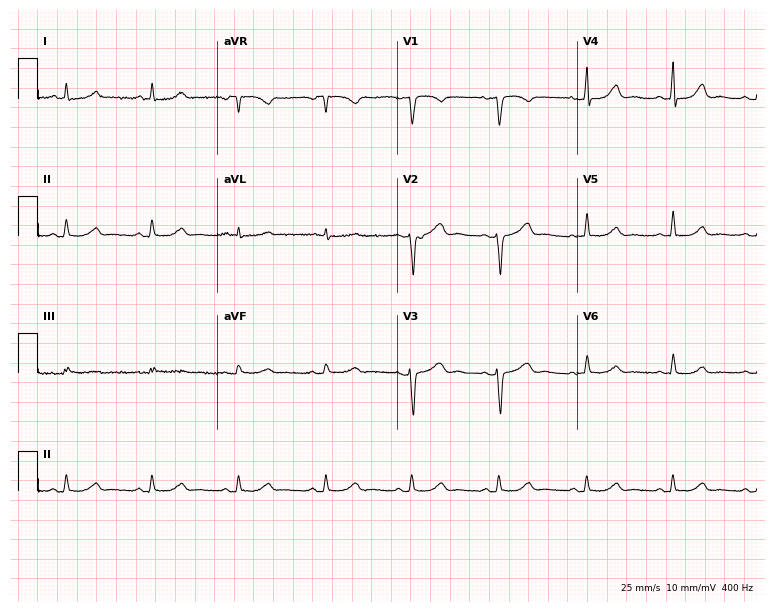
Standard 12-lead ECG recorded from a 54-year-old female patient (7.3-second recording at 400 Hz). None of these six findings is recorded: first-degree AV block, right bundle branch block (RBBB), left bundle branch block (LBBB), sinus bradycardia, atrial fibrillation (AF), sinus tachycardia. Findings outside these six are not listed.